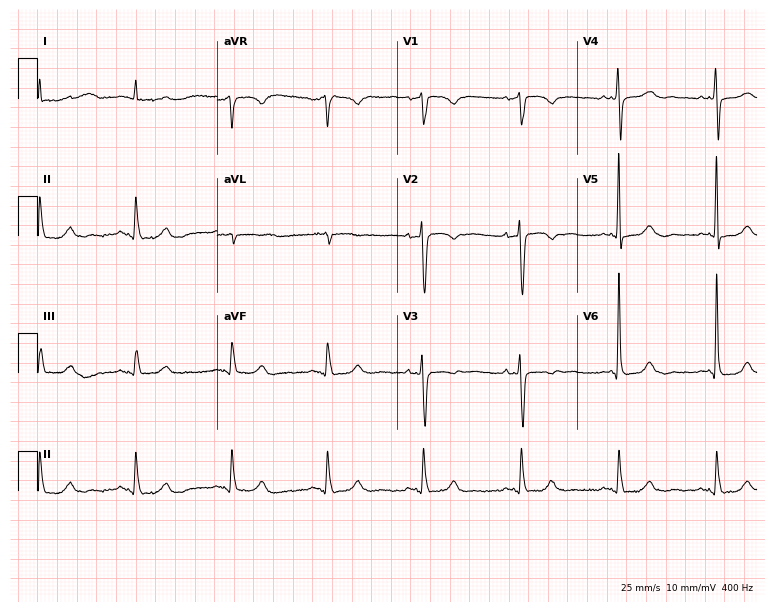
ECG (7.3-second recording at 400 Hz) — a woman, 73 years old. Labelled as a normal ECG.